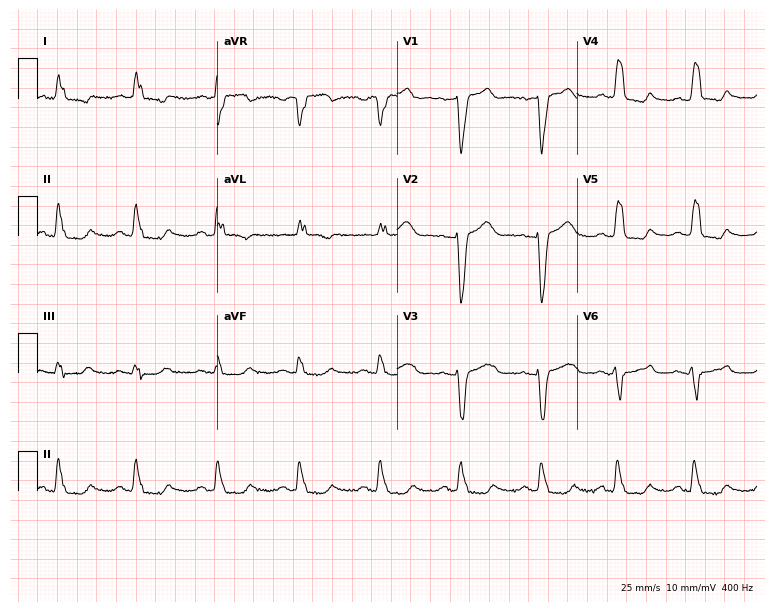
ECG (7.3-second recording at 400 Hz) — a female patient, 68 years old. Findings include left bundle branch block (LBBB).